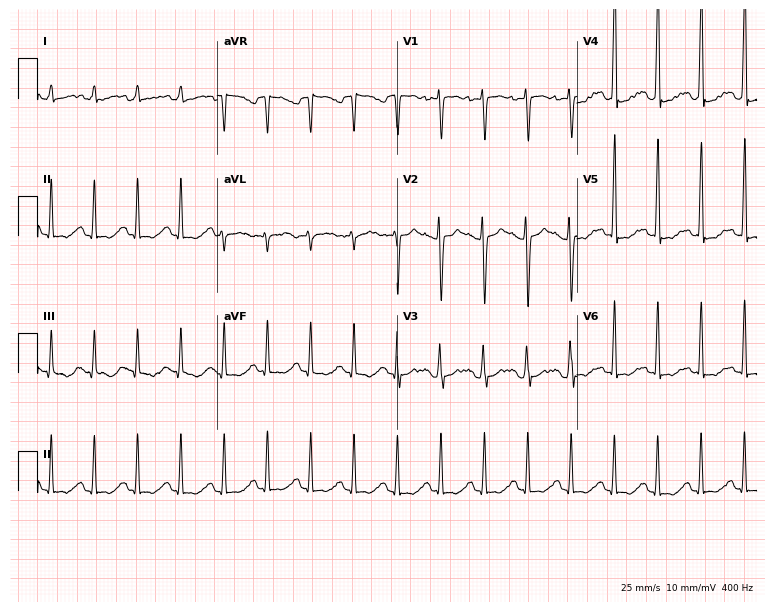
12-lead ECG from a woman, 21 years old. Shows sinus tachycardia (a sinus rate of 100 beats per minute or more).